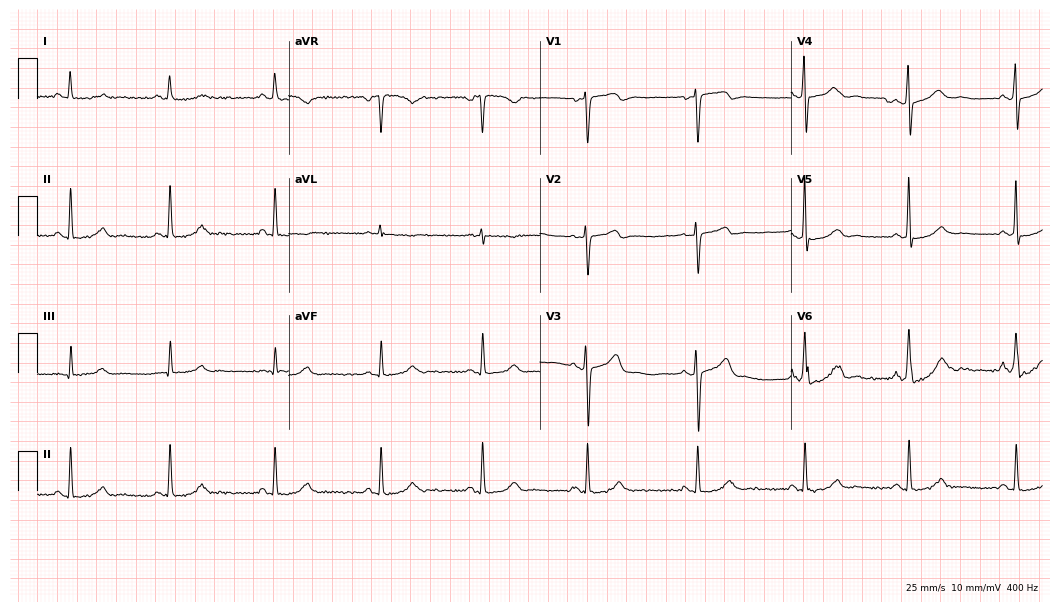
ECG — a 45-year-old female. Labelled as a normal ECG.